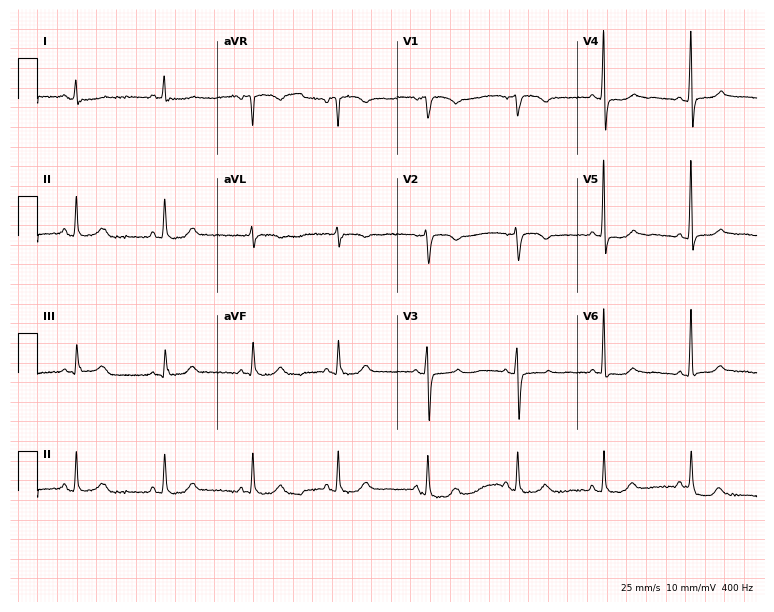
Resting 12-lead electrocardiogram (7.3-second recording at 400 Hz). Patient: a 64-year-old female. None of these six findings is recorded: first-degree AV block, right bundle branch block, left bundle branch block, sinus bradycardia, atrial fibrillation, sinus tachycardia. Only these six findings were labelled.